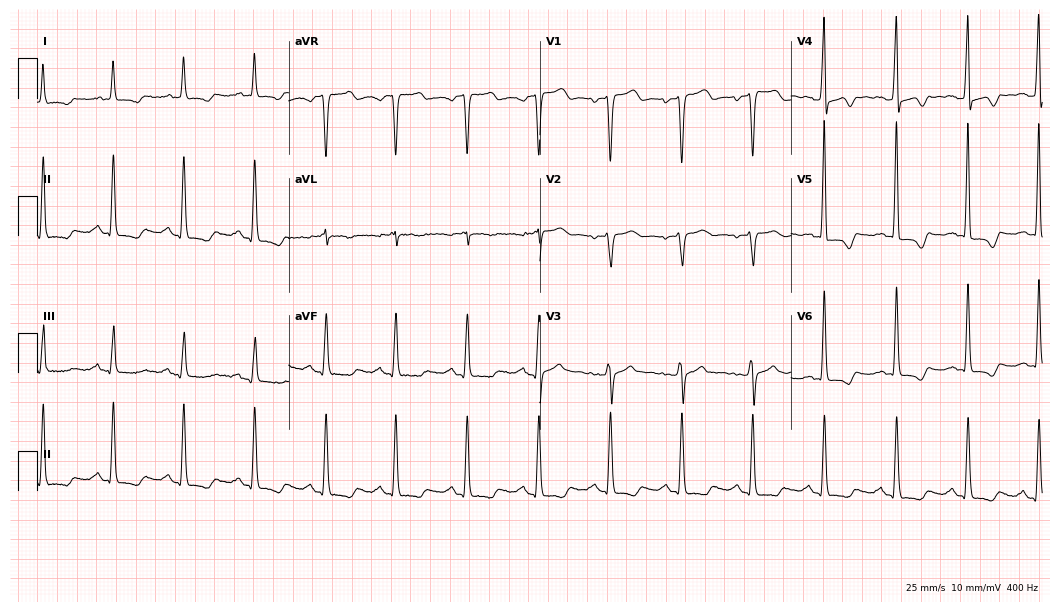
Resting 12-lead electrocardiogram (10.2-second recording at 400 Hz). Patient: a 56-year-old female. Read as a normal ECG.